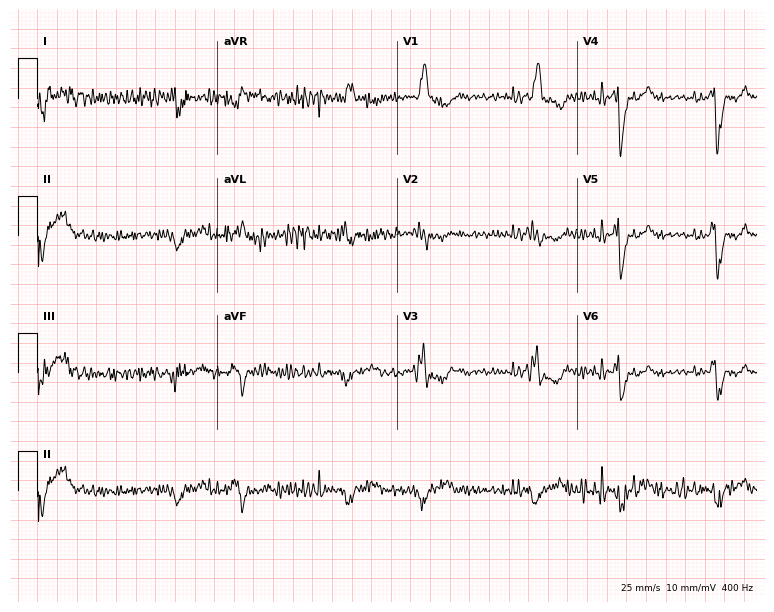
Standard 12-lead ECG recorded from a male, 69 years old. None of these six findings is recorded: first-degree AV block, right bundle branch block (RBBB), left bundle branch block (LBBB), sinus bradycardia, atrial fibrillation (AF), sinus tachycardia. Findings outside these six are not listed.